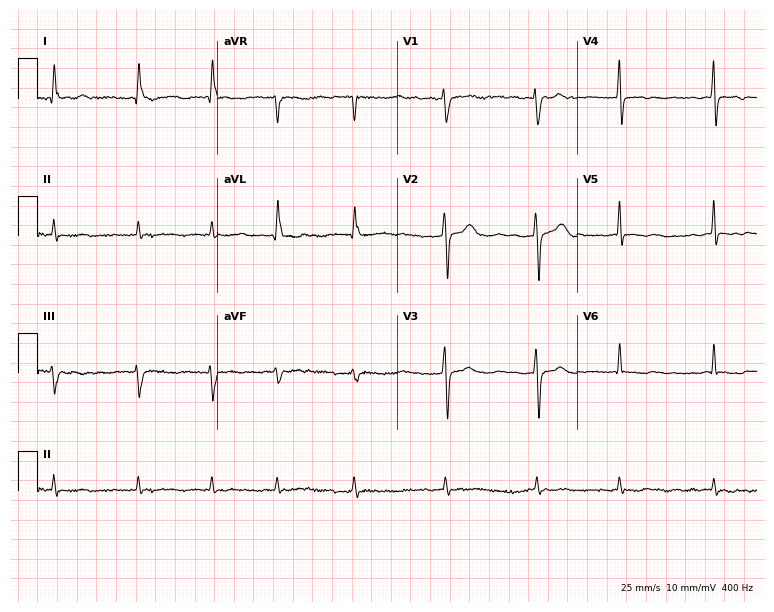
Electrocardiogram (7.3-second recording at 400 Hz), a 54-year-old woman. Interpretation includes atrial fibrillation.